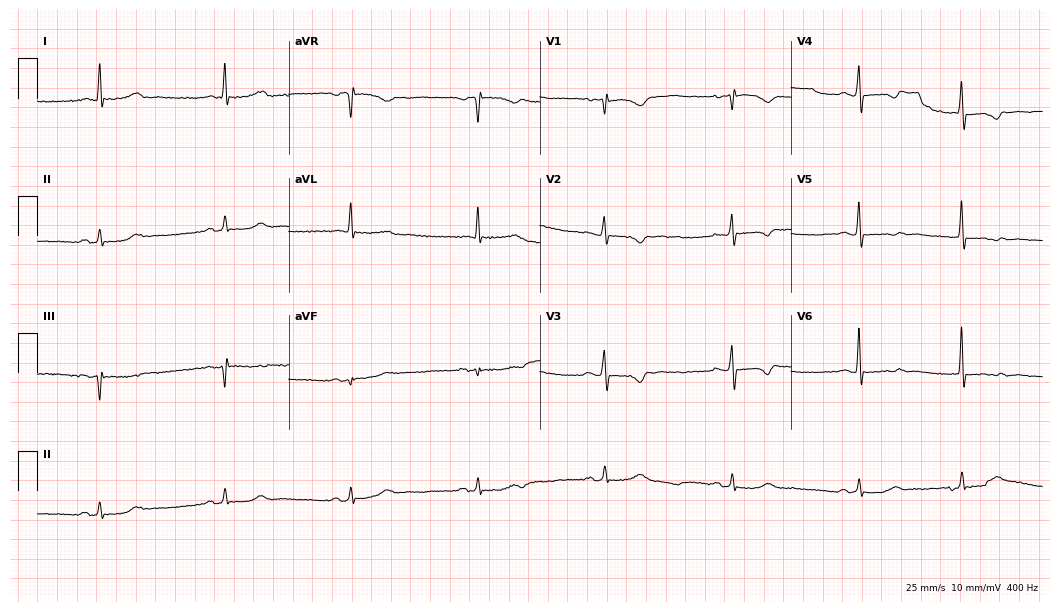
12-lead ECG from a woman, 68 years old. Screened for six findings — first-degree AV block, right bundle branch block, left bundle branch block, sinus bradycardia, atrial fibrillation, sinus tachycardia — none is recorded.